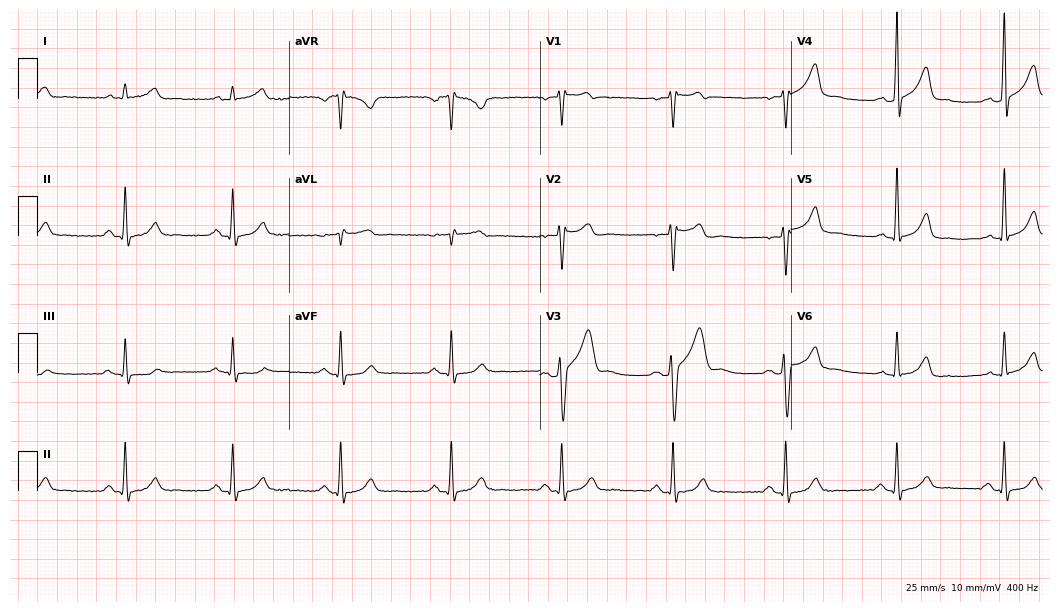
Electrocardiogram (10.2-second recording at 400 Hz), a male, 32 years old. Overall reading on record: normal ECG.